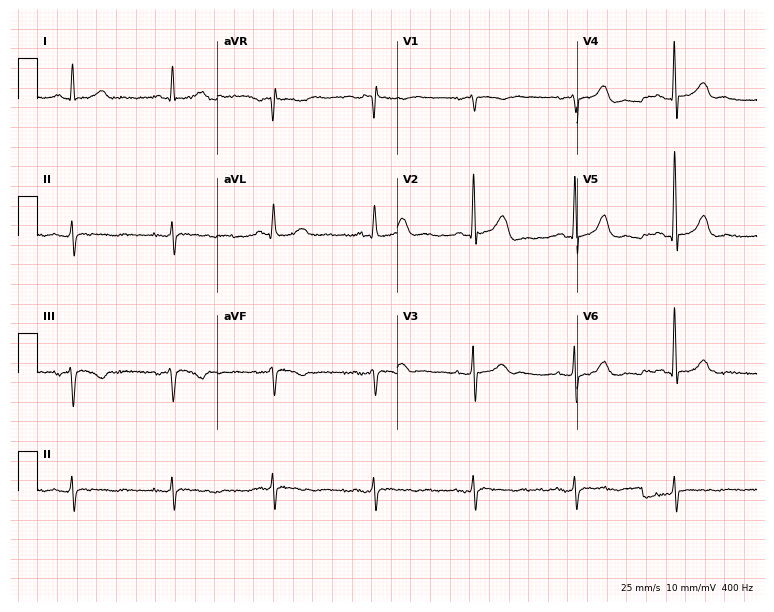
Resting 12-lead electrocardiogram (7.3-second recording at 400 Hz). Patient: a woman, 79 years old. None of these six findings is recorded: first-degree AV block, right bundle branch block (RBBB), left bundle branch block (LBBB), sinus bradycardia, atrial fibrillation (AF), sinus tachycardia.